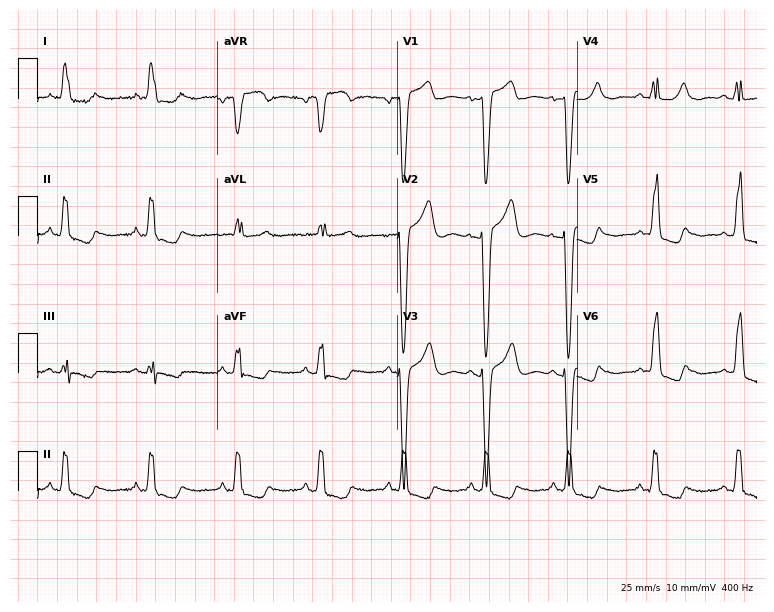
Electrocardiogram, a 73-year-old female. Interpretation includes left bundle branch block (LBBB).